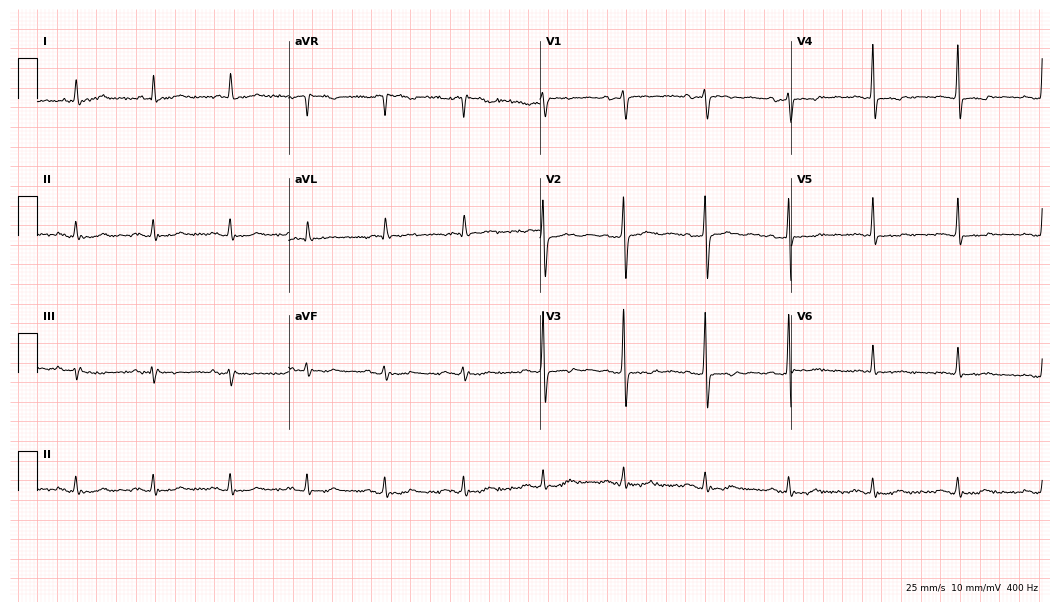
12-lead ECG from an 83-year-old woman. Screened for six findings — first-degree AV block, right bundle branch block, left bundle branch block, sinus bradycardia, atrial fibrillation, sinus tachycardia — none is recorded.